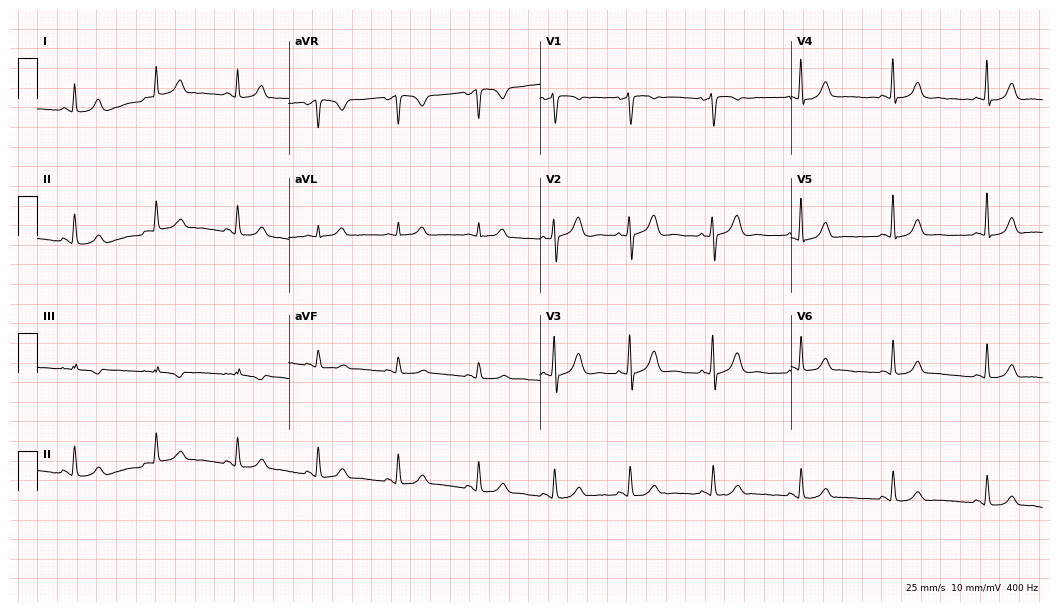
ECG — a 48-year-old female patient. Screened for six findings — first-degree AV block, right bundle branch block (RBBB), left bundle branch block (LBBB), sinus bradycardia, atrial fibrillation (AF), sinus tachycardia — none is recorded.